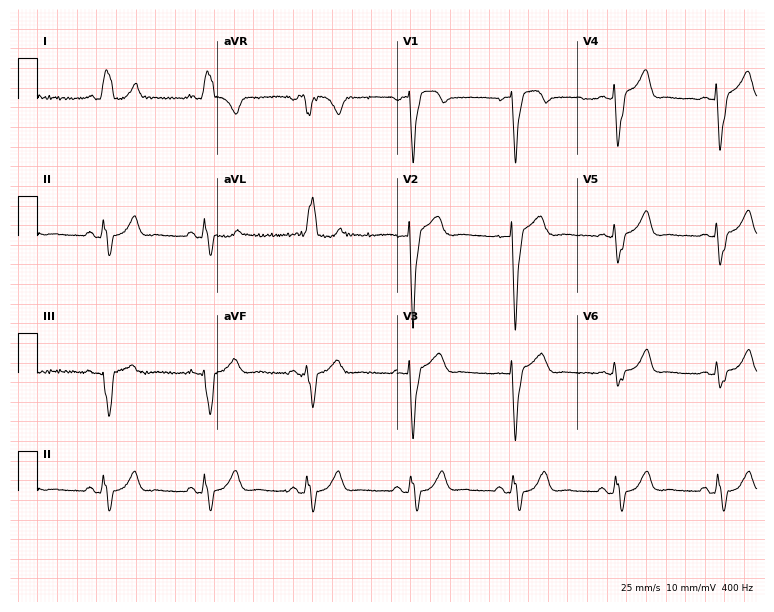
Standard 12-lead ECG recorded from a female patient, 73 years old (7.3-second recording at 400 Hz). The tracing shows left bundle branch block.